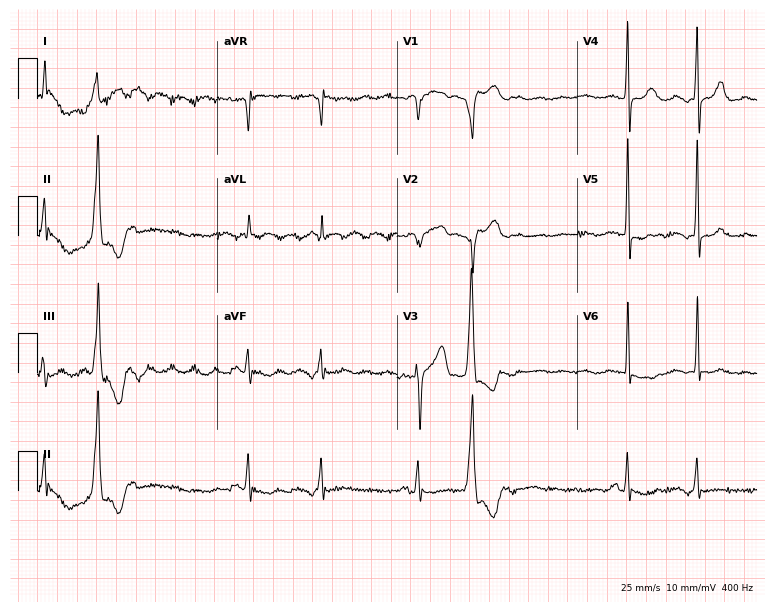
Resting 12-lead electrocardiogram (7.3-second recording at 400 Hz). Patient: an 84-year-old male. None of these six findings is recorded: first-degree AV block, right bundle branch block, left bundle branch block, sinus bradycardia, atrial fibrillation, sinus tachycardia.